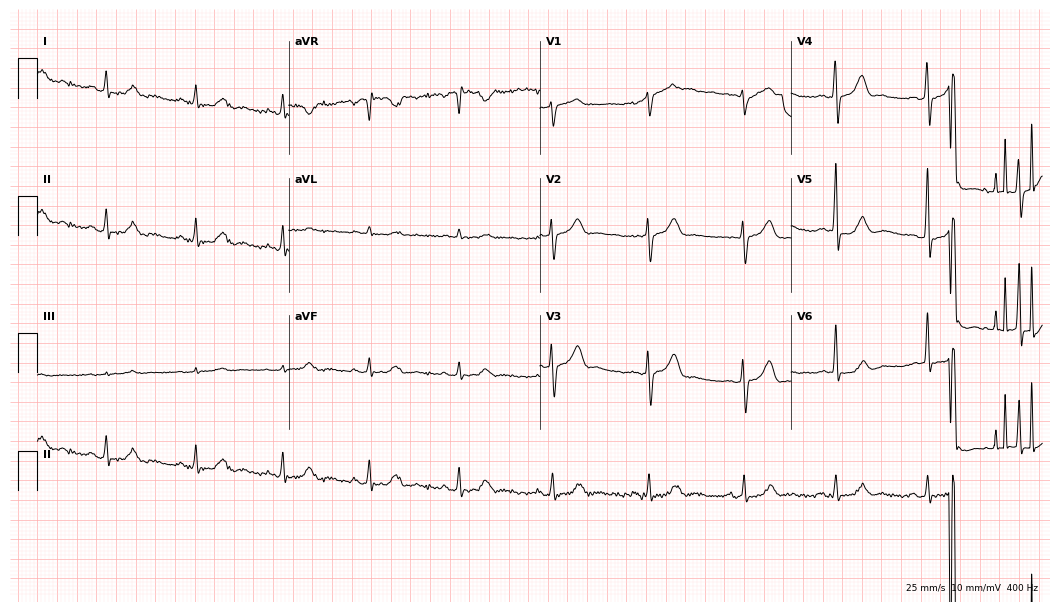
12-lead ECG from a male patient, 61 years old (10.2-second recording at 400 Hz). Recorded interpretation: within normal limits.